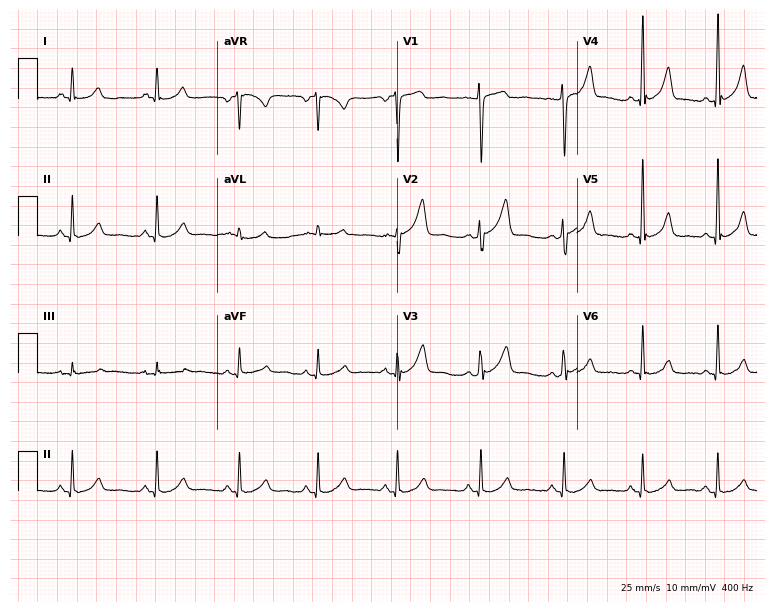
Electrocardiogram, a male patient, 43 years old. Overall reading on record: normal ECG.